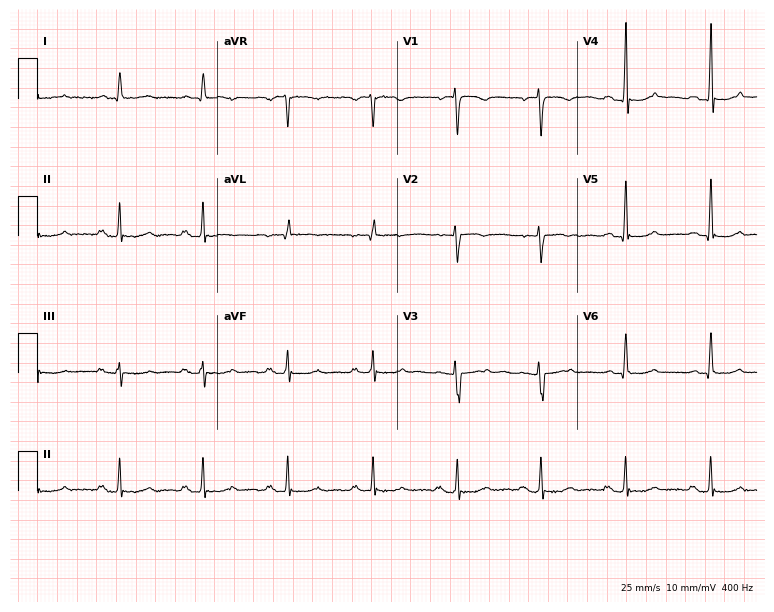
12-lead ECG from a 49-year-old female patient. Recorded interpretation: within normal limits.